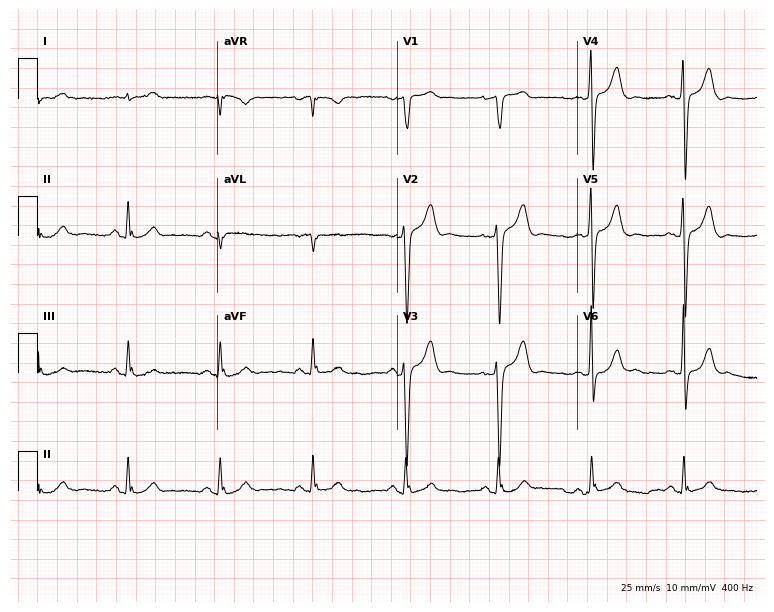
Electrocardiogram (7.3-second recording at 400 Hz), a 69-year-old male. Of the six screened findings (first-degree AV block, right bundle branch block, left bundle branch block, sinus bradycardia, atrial fibrillation, sinus tachycardia), none is recorded.